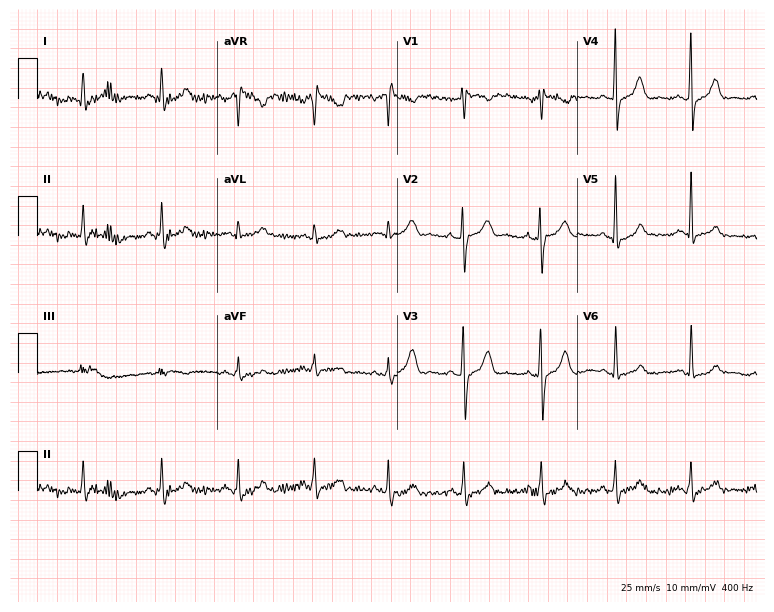
12-lead ECG (7.3-second recording at 400 Hz) from a female, 31 years old. Screened for six findings — first-degree AV block, right bundle branch block (RBBB), left bundle branch block (LBBB), sinus bradycardia, atrial fibrillation (AF), sinus tachycardia — none is recorded.